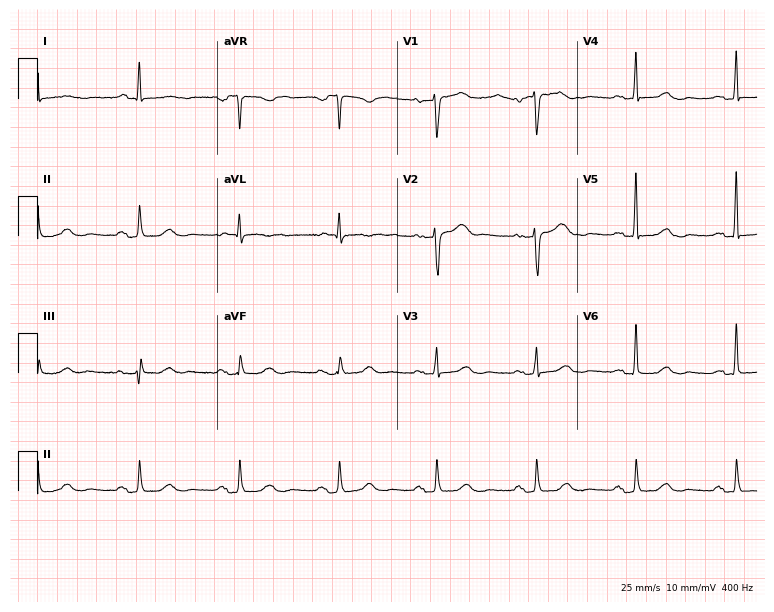
Electrocardiogram (7.3-second recording at 400 Hz), an 82-year-old female patient. Overall reading on record: normal ECG.